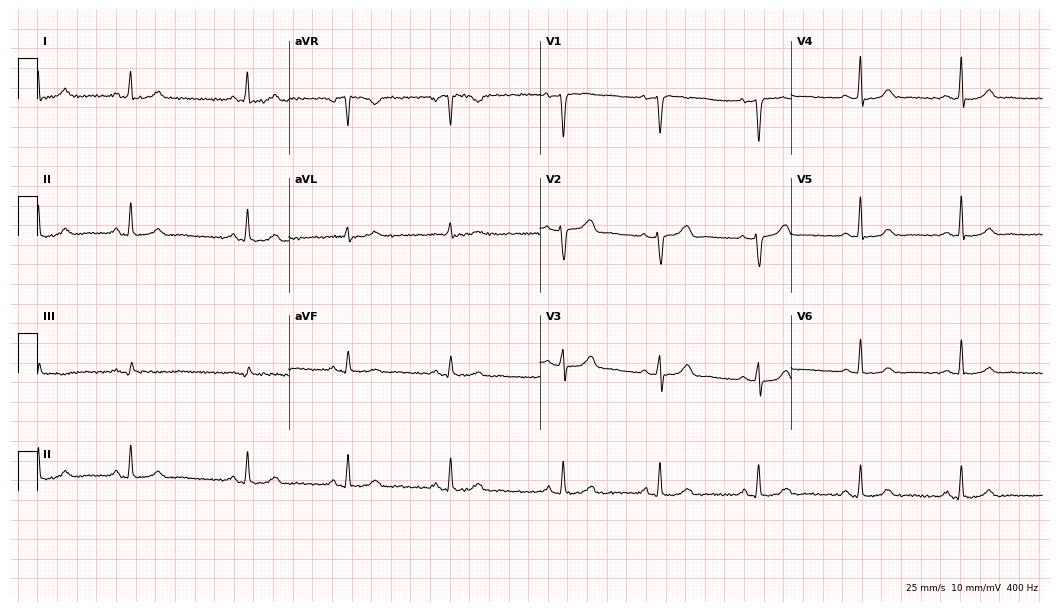
ECG (10.2-second recording at 400 Hz) — a 29-year-old female patient. Labelled as a normal ECG.